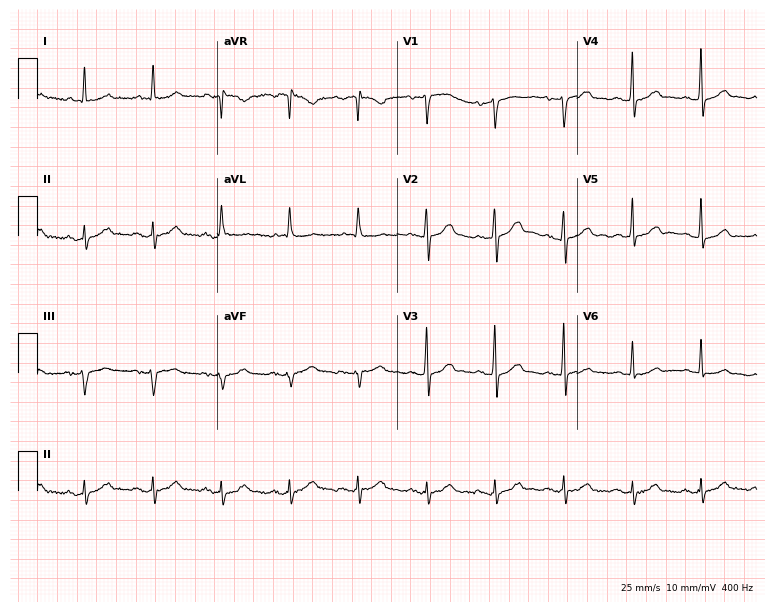
ECG (7.3-second recording at 400 Hz) — a male, 85 years old. Labelled as a normal ECG.